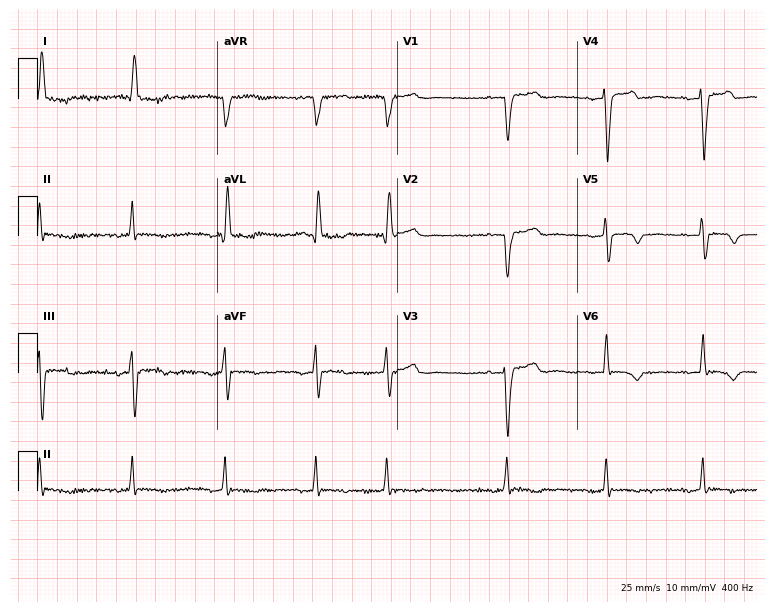
12-lead ECG (7.3-second recording at 400 Hz) from a woman, 69 years old. Findings include atrial fibrillation.